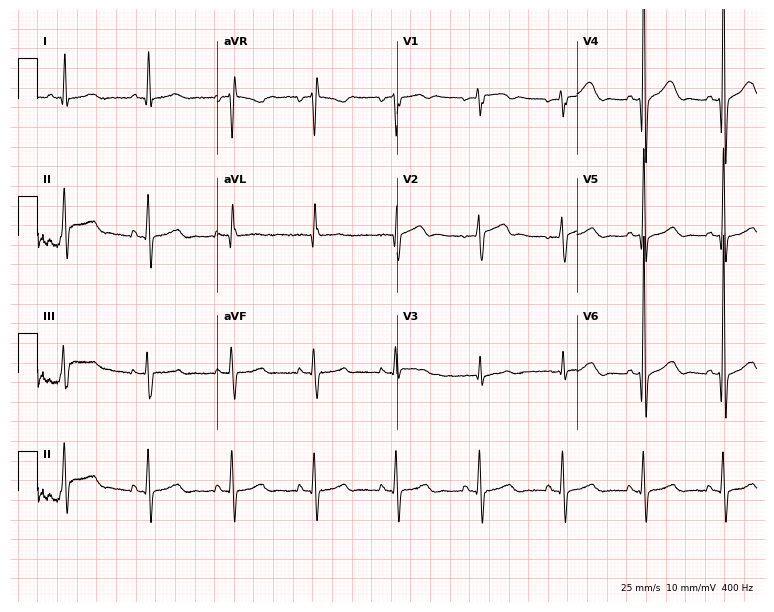
Standard 12-lead ECG recorded from a 66-year-old male. None of these six findings is recorded: first-degree AV block, right bundle branch block, left bundle branch block, sinus bradycardia, atrial fibrillation, sinus tachycardia. Only these six findings were labelled.